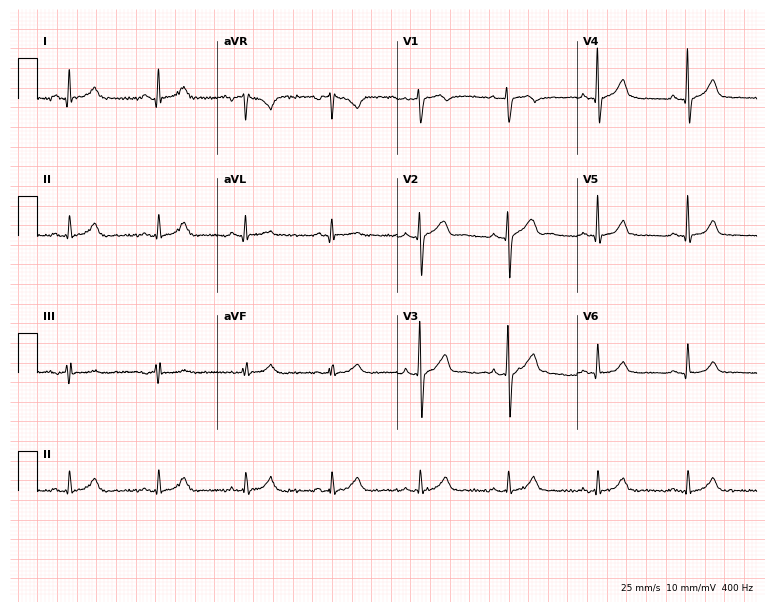
Electrocardiogram, a 48-year-old woman. Overall reading on record: normal ECG.